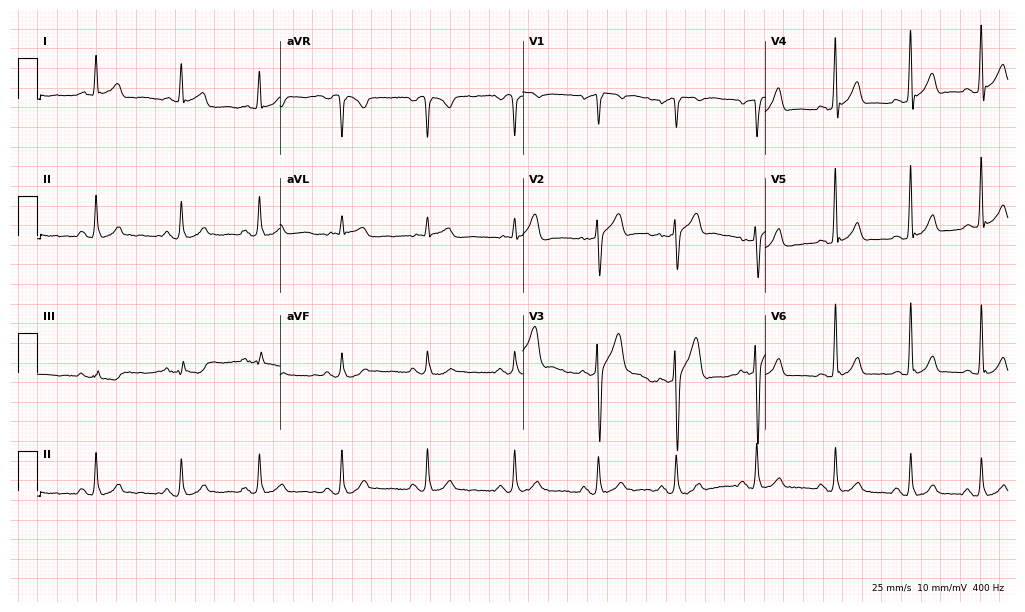
12-lead ECG from a male, 44 years old. Recorded interpretation: within normal limits.